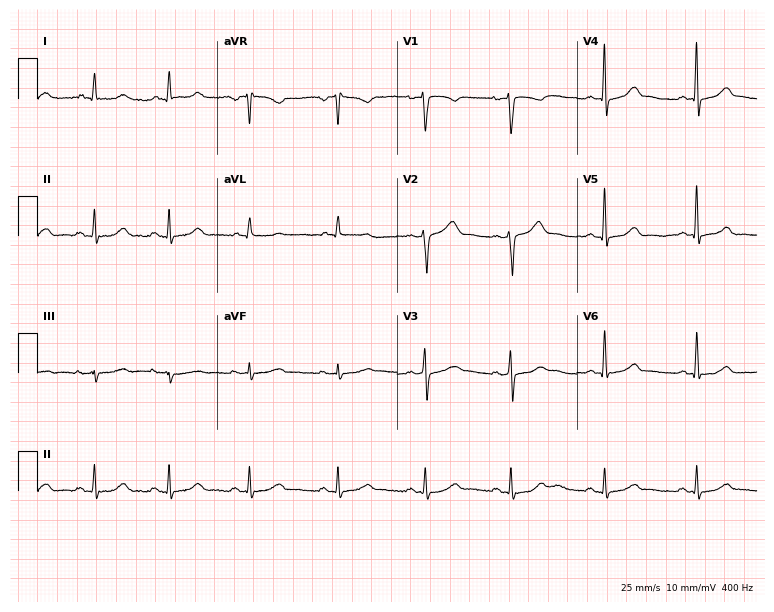
ECG (7.3-second recording at 400 Hz) — a 32-year-old female patient. Labelled as a normal ECG.